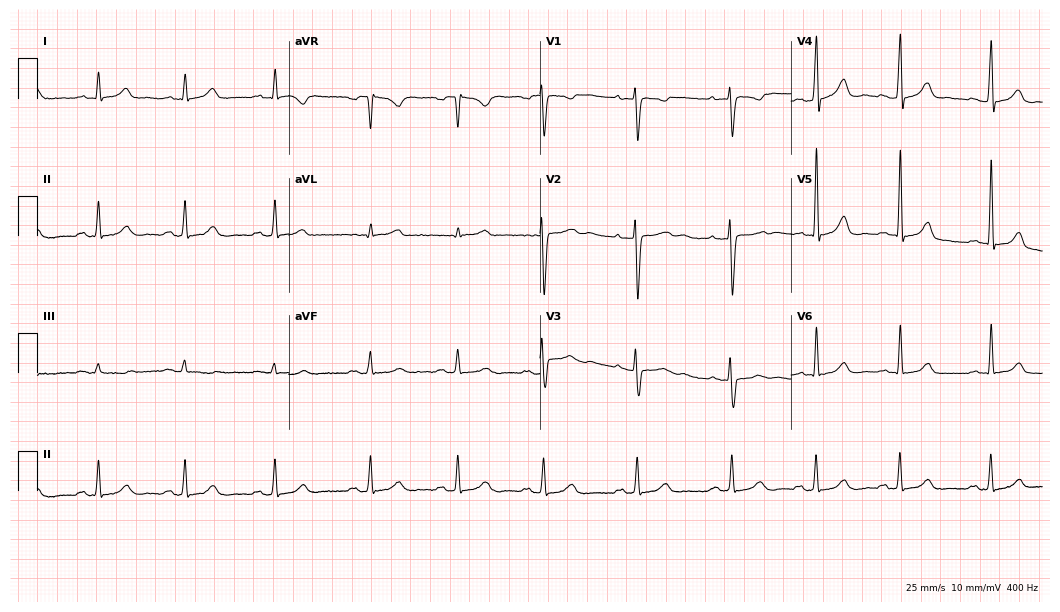
12-lead ECG from a woman, 30 years old. Recorded interpretation: within normal limits.